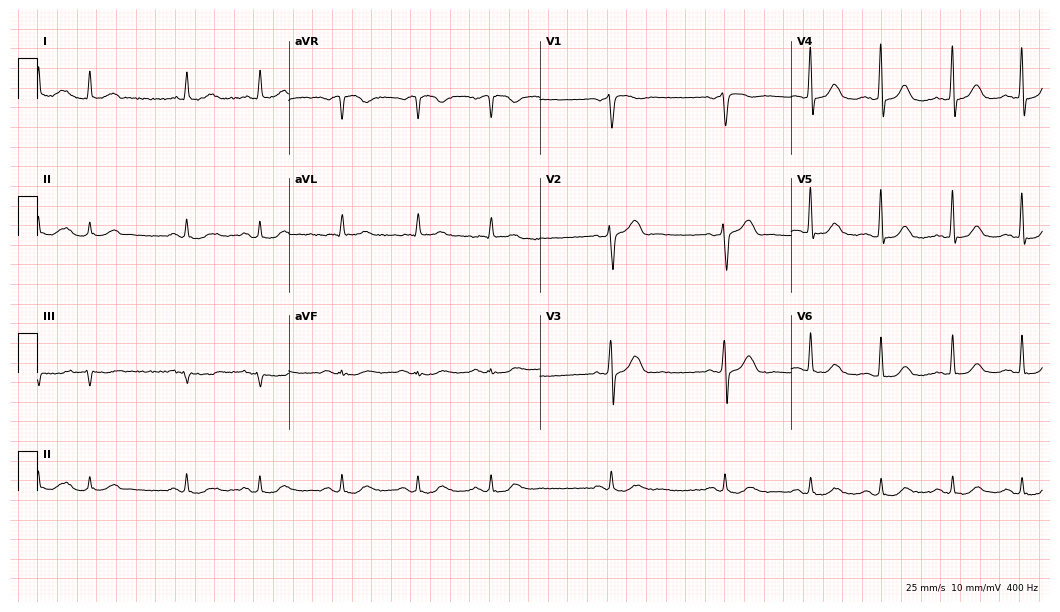
Standard 12-lead ECG recorded from an 81-year-old male. None of these six findings is recorded: first-degree AV block, right bundle branch block, left bundle branch block, sinus bradycardia, atrial fibrillation, sinus tachycardia. Only these six findings were labelled.